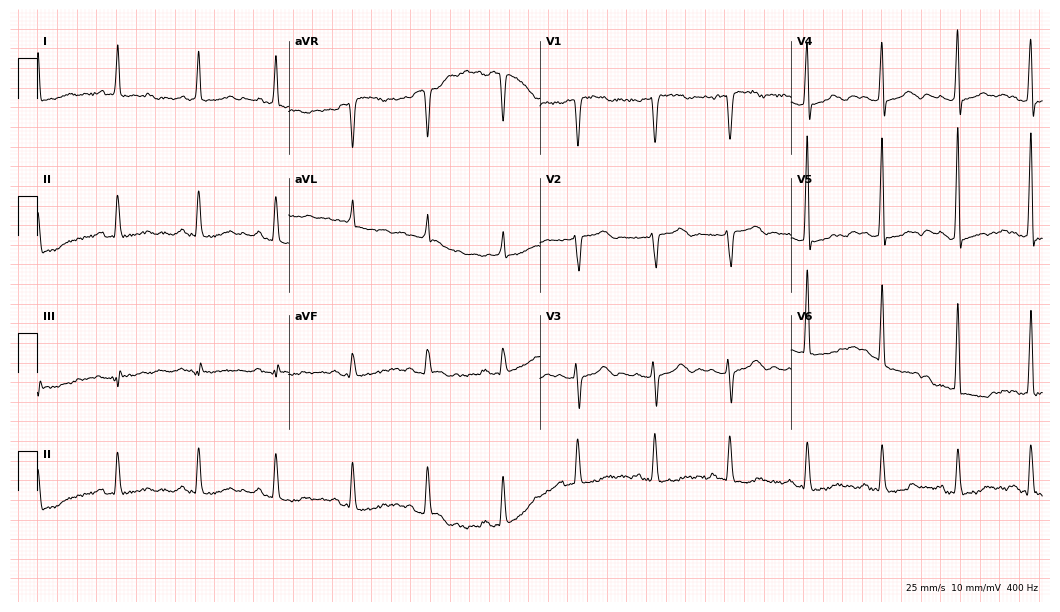
12-lead ECG (10.2-second recording at 400 Hz) from a female, 80 years old. Screened for six findings — first-degree AV block, right bundle branch block, left bundle branch block, sinus bradycardia, atrial fibrillation, sinus tachycardia — none is recorded. Only these six findings were labelled.